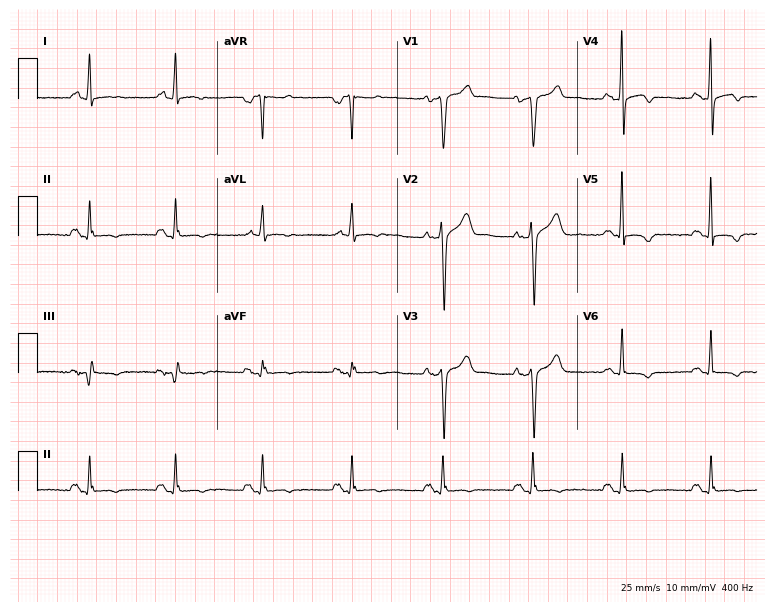
Electrocardiogram (7.3-second recording at 400 Hz), a male, 61 years old. Of the six screened findings (first-degree AV block, right bundle branch block, left bundle branch block, sinus bradycardia, atrial fibrillation, sinus tachycardia), none is recorded. Findings outside these six are not listed.